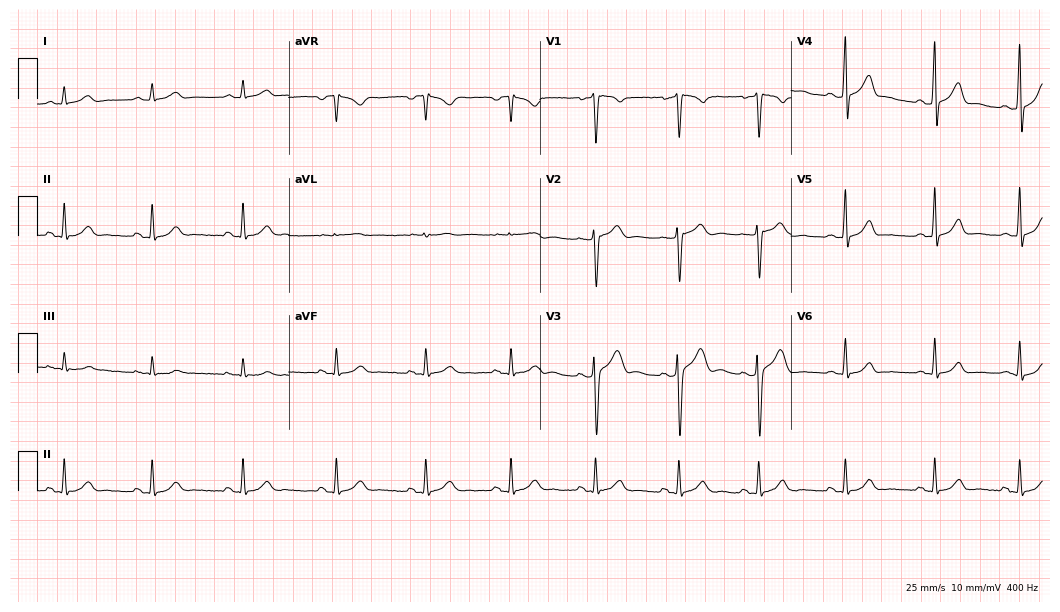
ECG — a 36-year-old male patient. Labelled as a normal ECG.